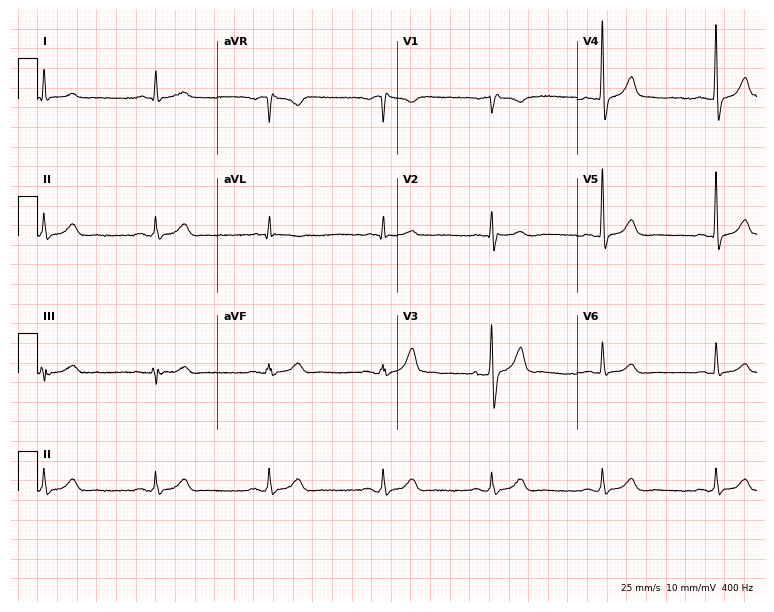
12-lead ECG from a 58-year-old male patient. Labelled as a normal ECG.